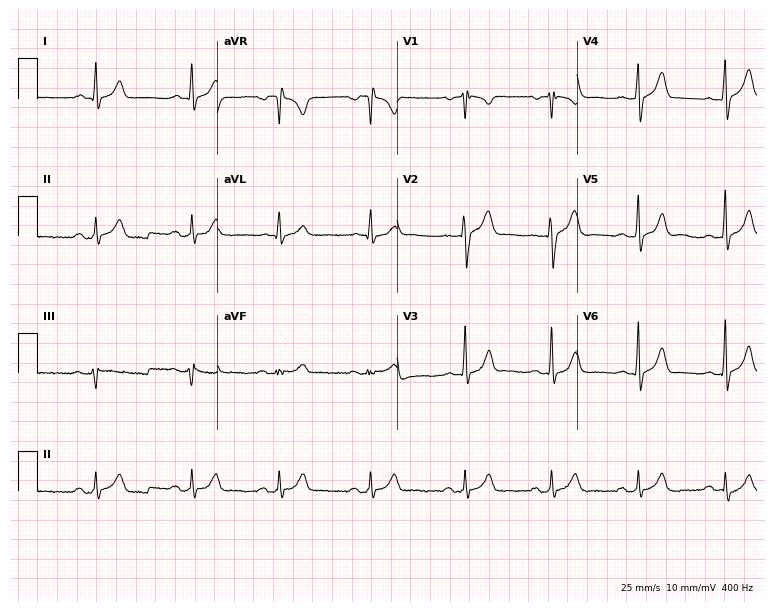
Standard 12-lead ECG recorded from a male, 25 years old. Read as a normal ECG.